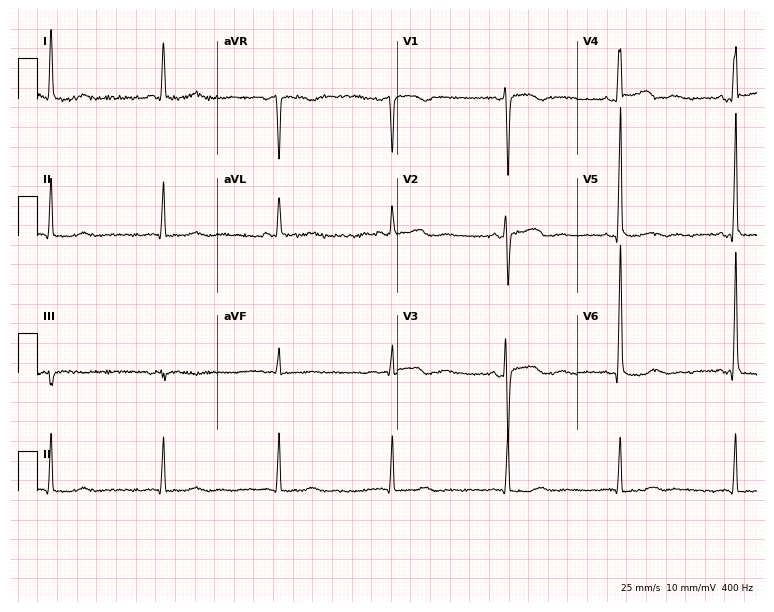
Electrocardiogram, a female, 51 years old. Overall reading on record: normal ECG.